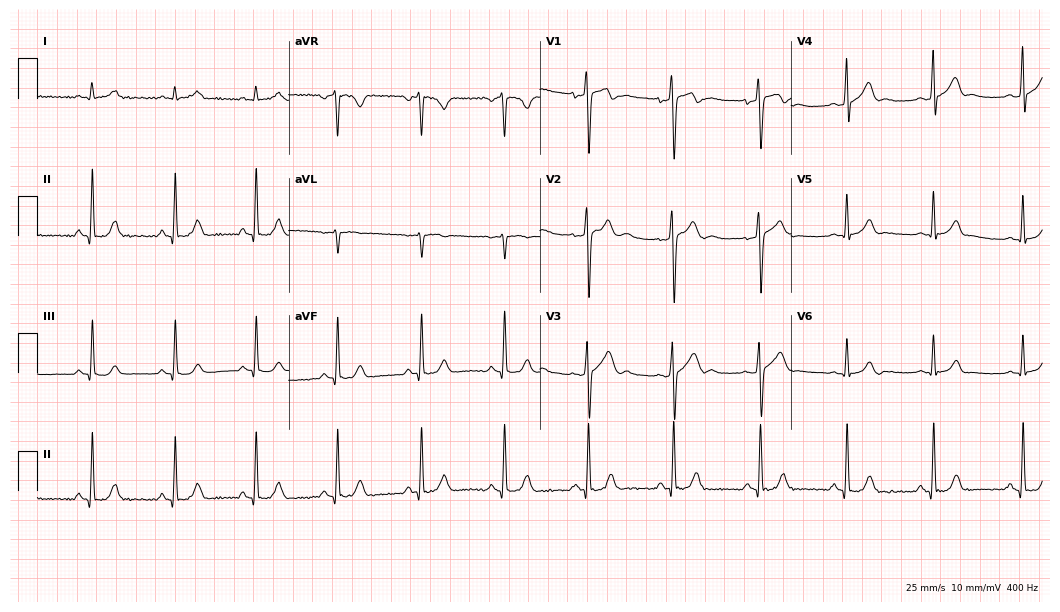
Electrocardiogram (10.2-second recording at 400 Hz), a man, 29 years old. Overall reading on record: normal ECG.